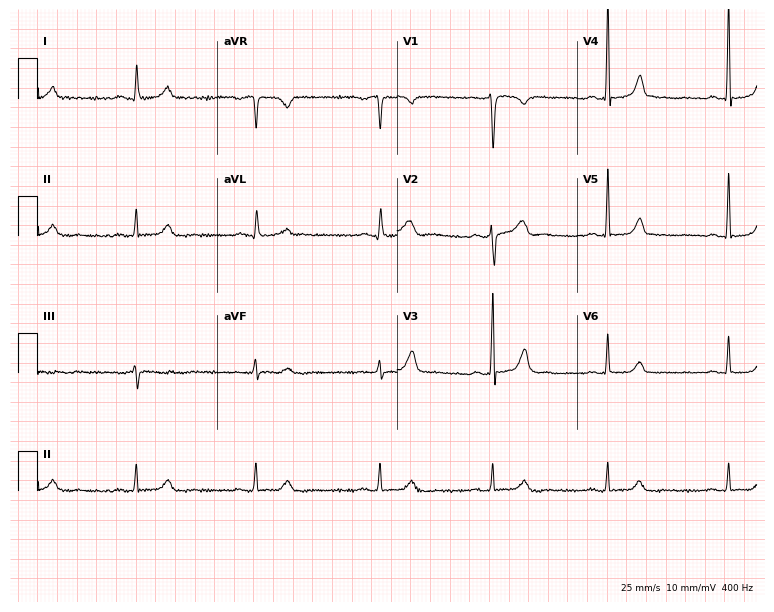
Standard 12-lead ECG recorded from a 50-year-old female patient (7.3-second recording at 400 Hz). The tracing shows sinus bradycardia (a sinus rate of 50 beats per minute or less).